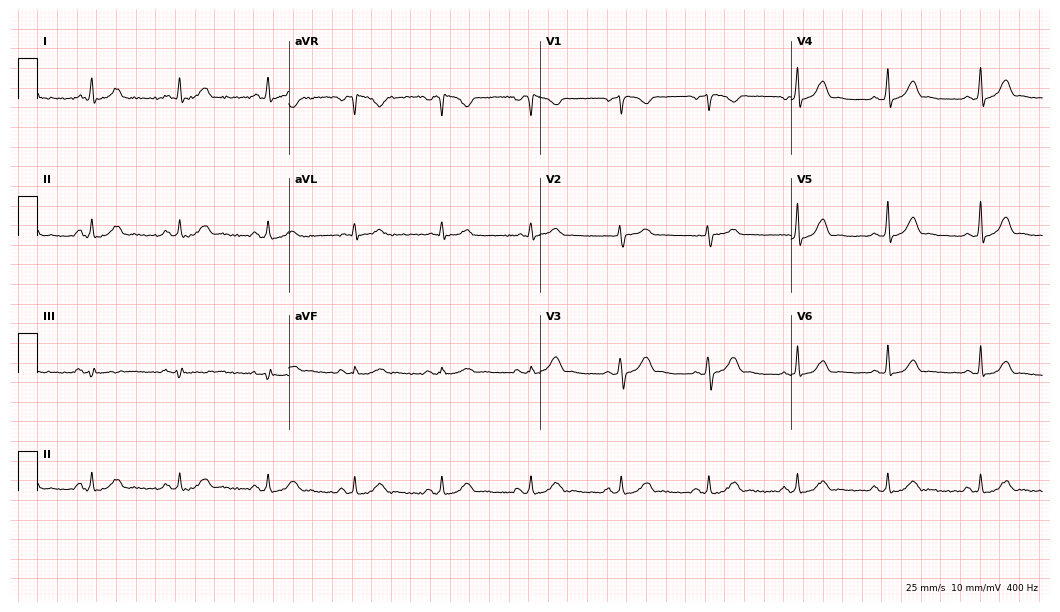
ECG — a woman, 39 years old. Labelled as a normal ECG.